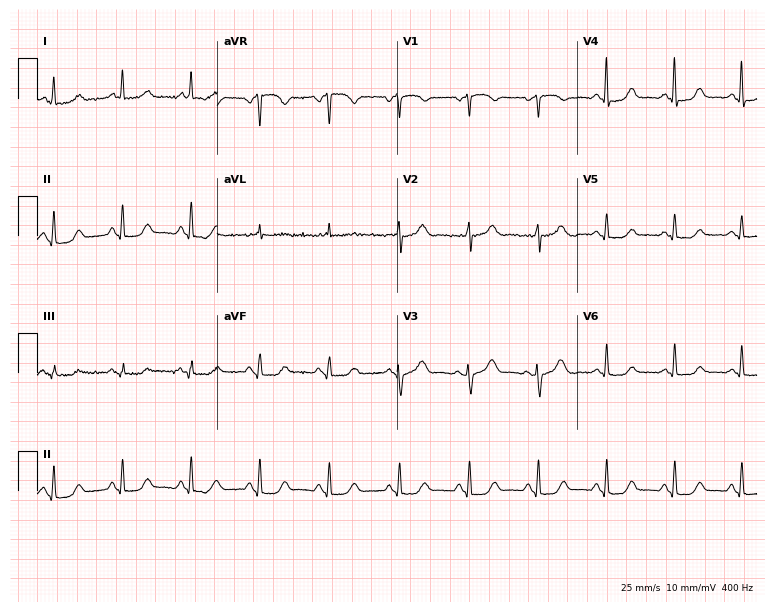
12-lead ECG (7.3-second recording at 400 Hz) from a woman, 72 years old. Labelled as a normal ECG.